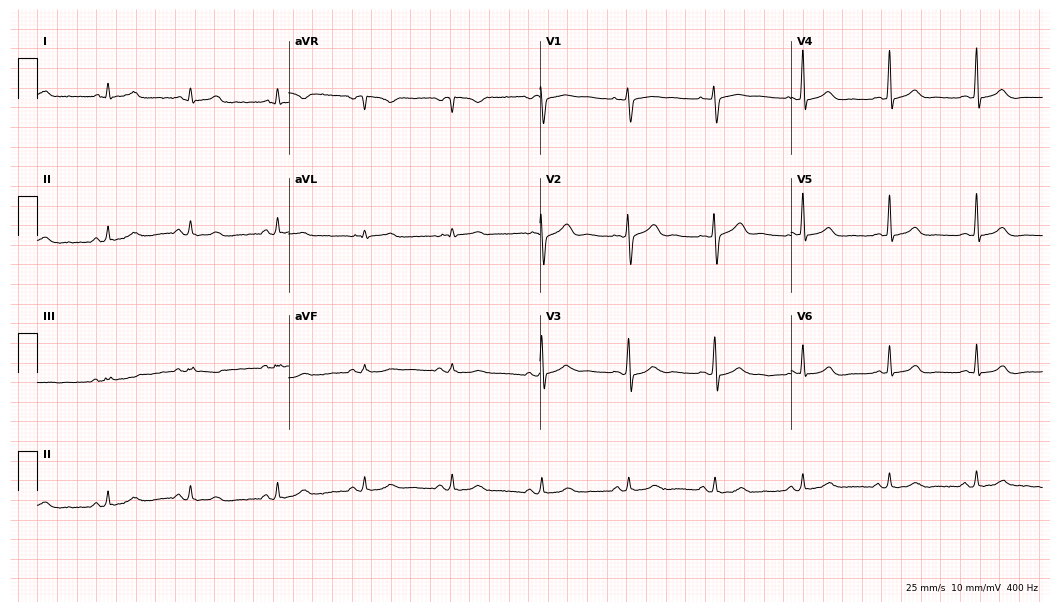
Electrocardiogram, a female, 34 years old. Overall reading on record: normal ECG.